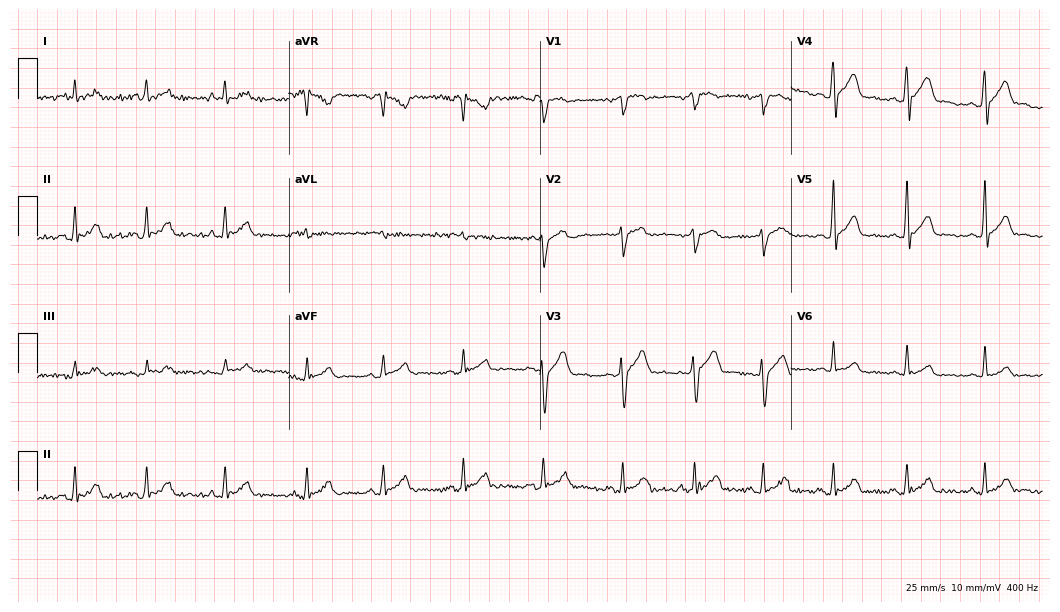
12-lead ECG from a male, 44 years old. No first-degree AV block, right bundle branch block, left bundle branch block, sinus bradycardia, atrial fibrillation or sinus tachycardia recorded for this tracing. Findings outside these six are not listed.